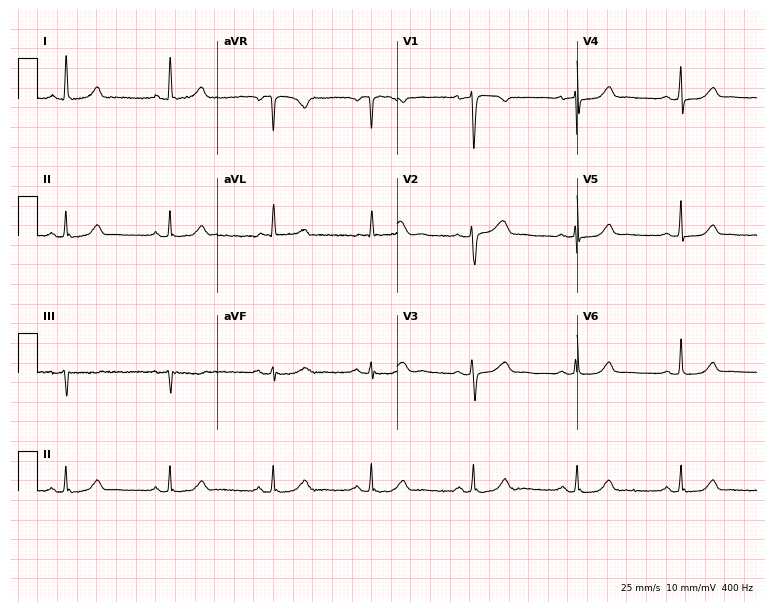
12-lead ECG from a 63-year-old woman. Labelled as a normal ECG.